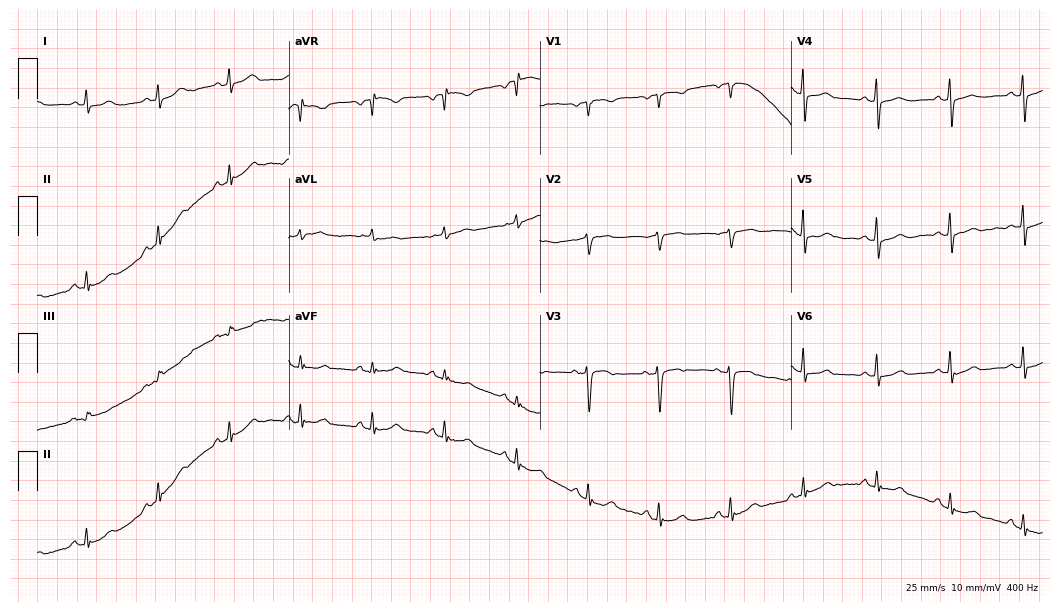
Resting 12-lead electrocardiogram (10.2-second recording at 400 Hz). Patient: a female, 68 years old. Read as a normal ECG.